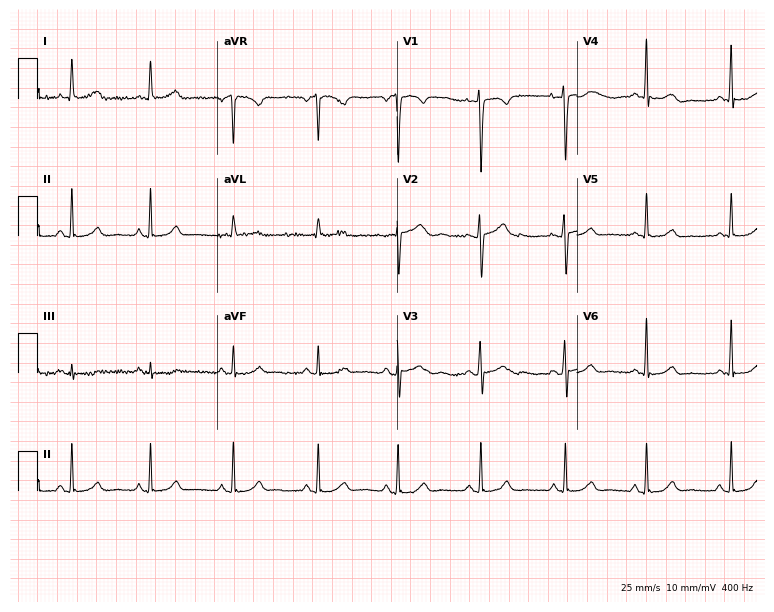
Standard 12-lead ECG recorded from a 34-year-old female (7.3-second recording at 400 Hz). Read as a normal ECG.